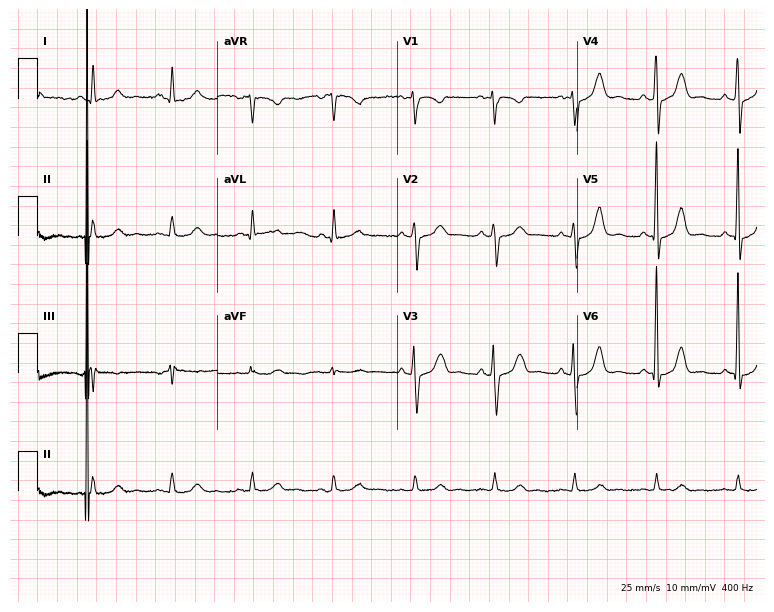
Electrocardiogram, a female, 70 years old. Of the six screened findings (first-degree AV block, right bundle branch block, left bundle branch block, sinus bradycardia, atrial fibrillation, sinus tachycardia), none is recorded. Only these six findings were labelled.